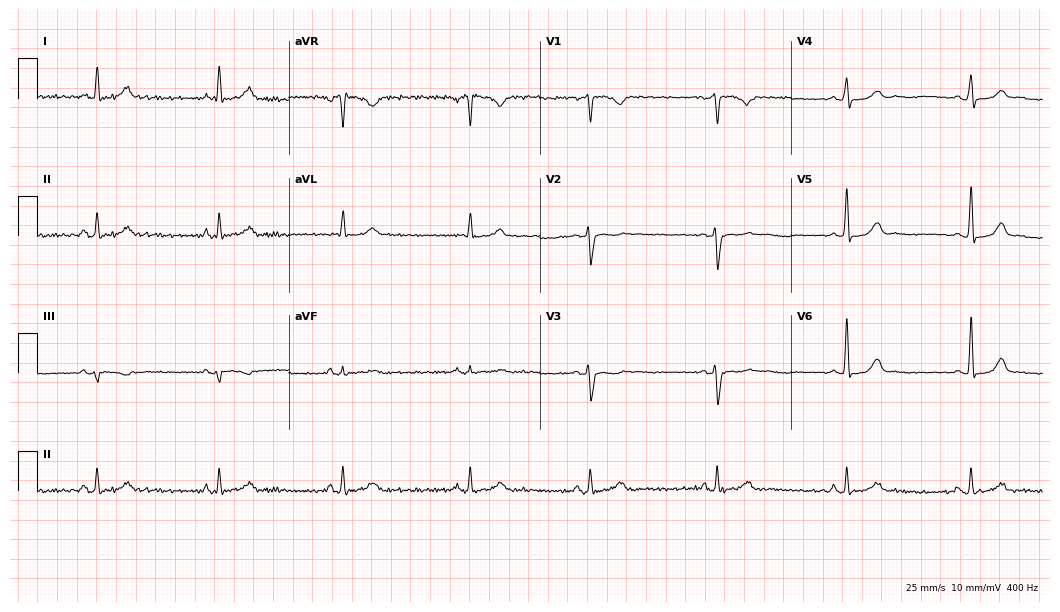
Standard 12-lead ECG recorded from a 34-year-old woman (10.2-second recording at 400 Hz). Read as a normal ECG.